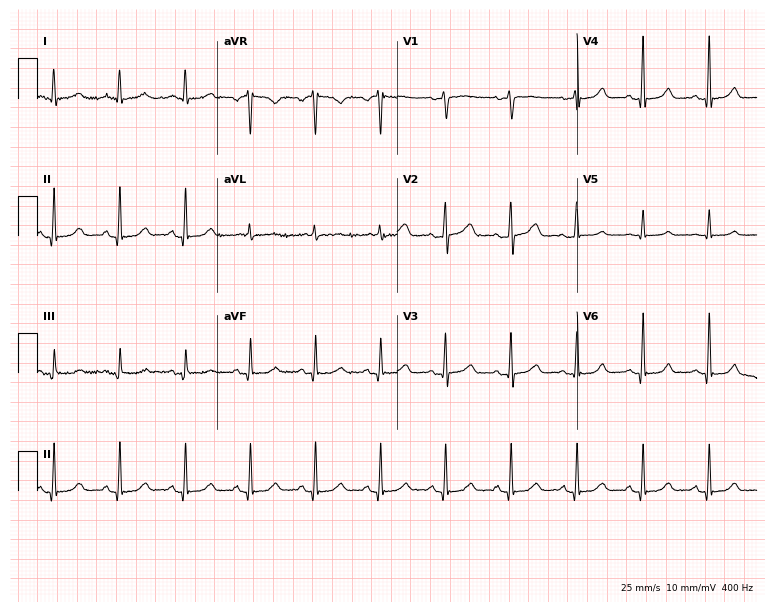
12-lead ECG (7.3-second recording at 400 Hz) from a female, 57 years old. Labelled as a normal ECG.